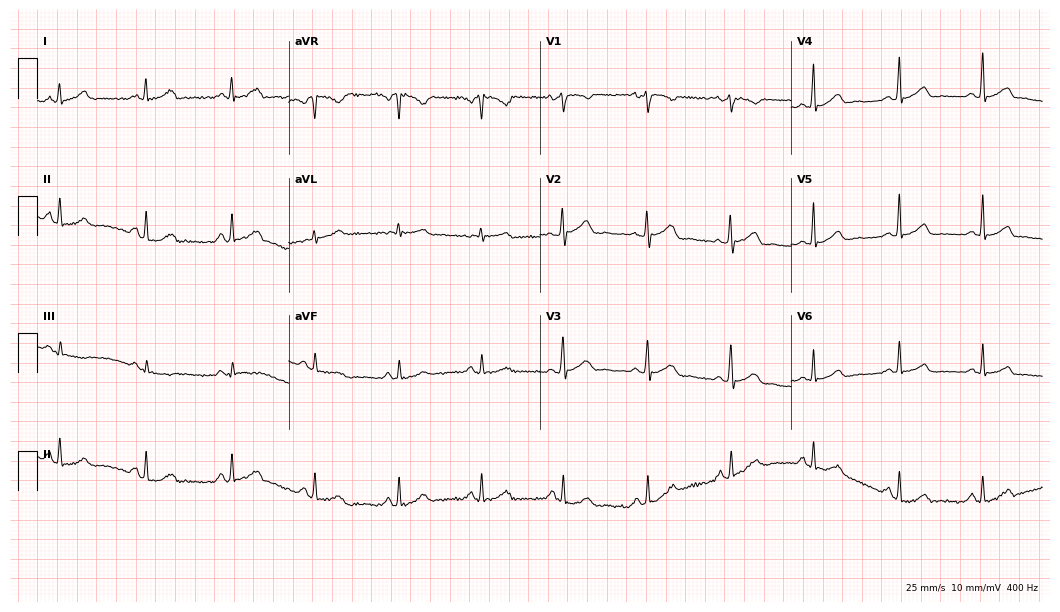
Electrocardiogram (10.2-second recording at 400 Hz), a woman, 21 years old. Overall reading on record: normal ECG.